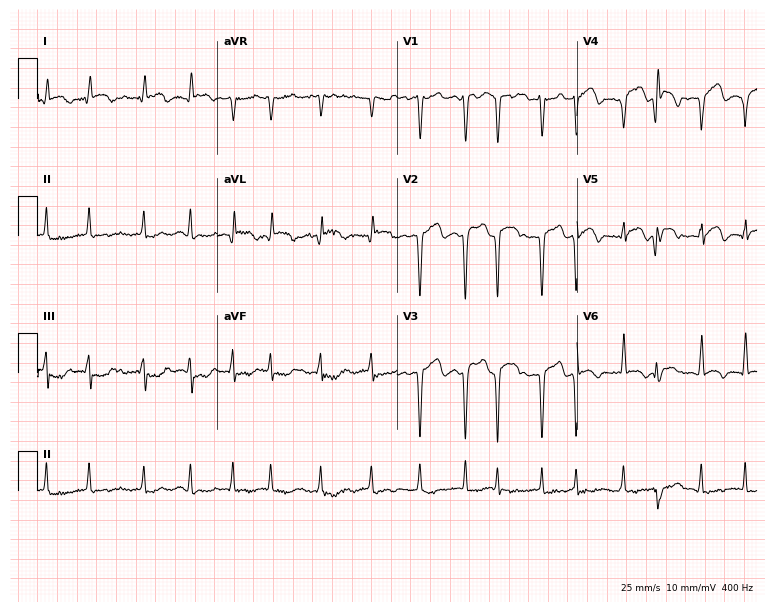
Standard 12-lead ECG recorded from a 78-year-old woman. The tracing shows atrial fibrillation.